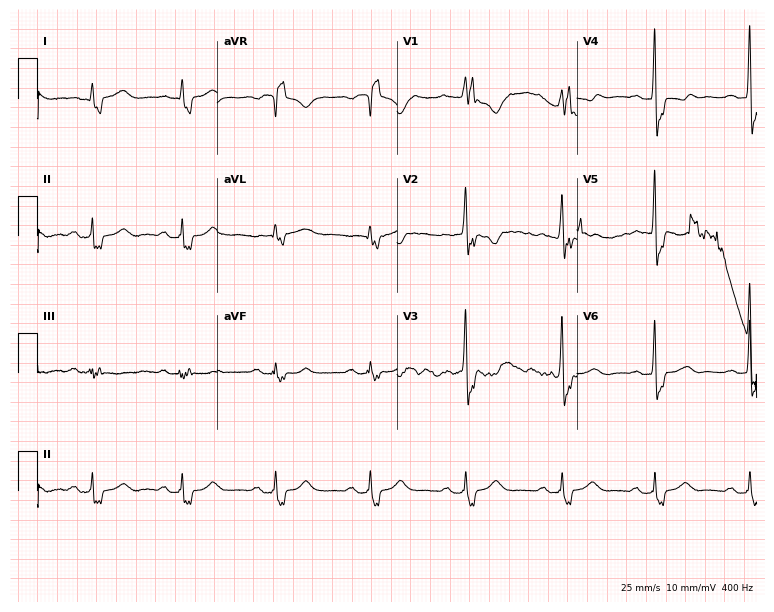
Standard 12-lead ECG recorded from a female patient, 55 years old. The tracing shows right bundle branch block.